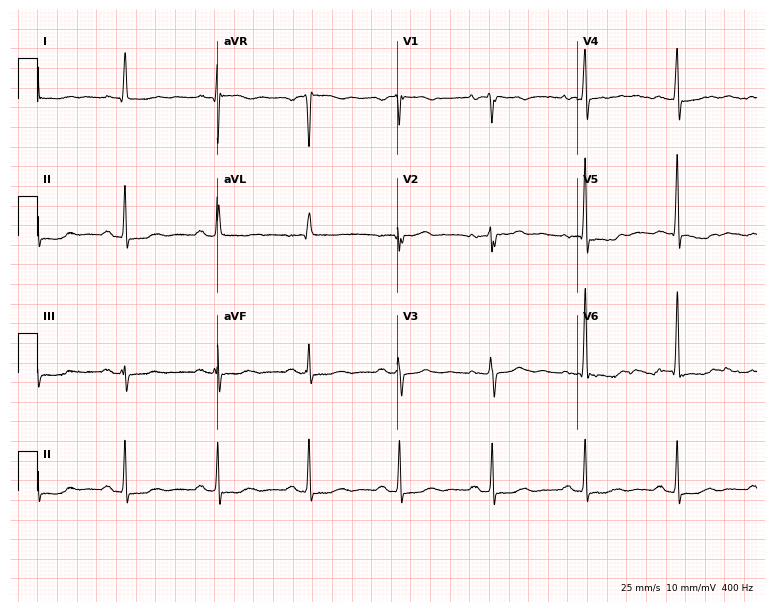
Resting 12-lead electrocardiogram (7.3-second recording at 400 Hz). Patient: an 82-year-old woman. Read as a normal ECG.